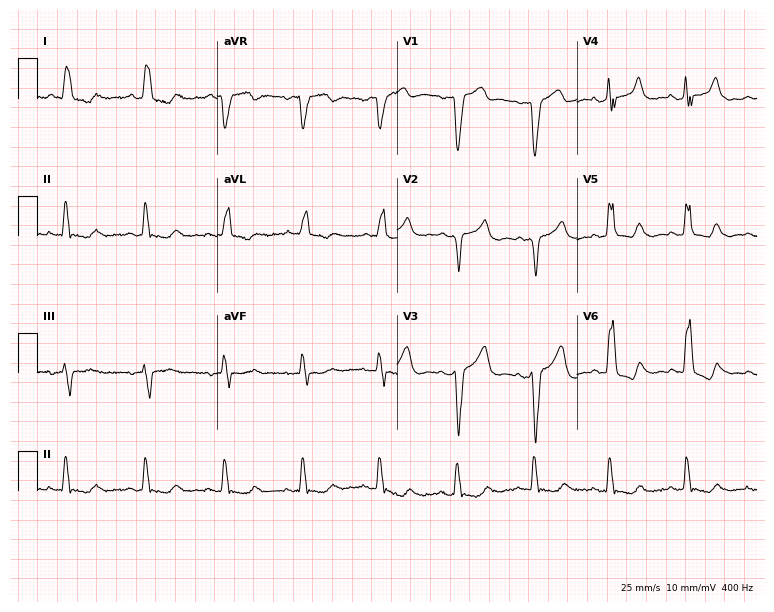
Standard 12-lead ECG recorded from a 70-year-old male patient. None of these six findings is recorded: first-degree AV block, right bundle branch block, left bundle branch block, sinus bradycardia, atrial fibrillation, sinus tachycardia. Only these six findings were labelled.